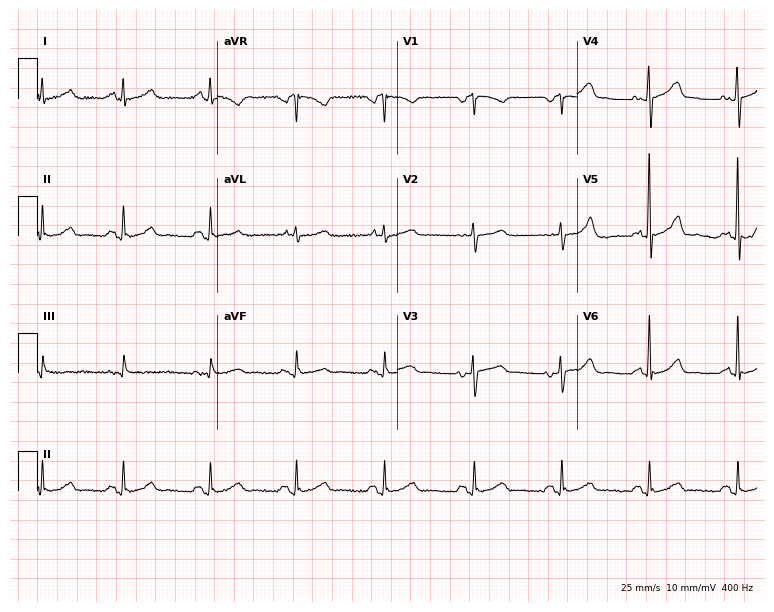
12-lead ECG from a female, 44 years old (7.3-second recording at 400 Hz). Recorded interpretation: within normal limits.